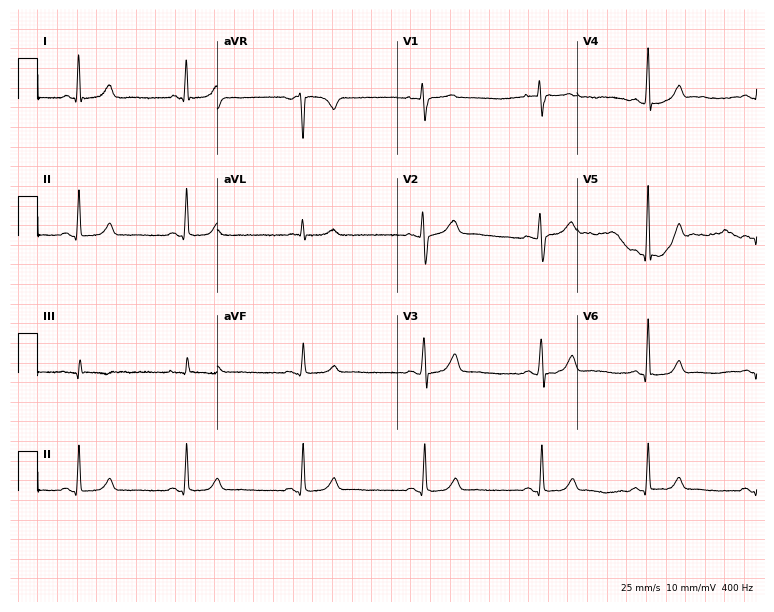
Resting 12-lead electrocardiogram (7.3-second recording at 400 Hz). Patient: a female, 44 years old. None of these six findings is recorded: first-degree AV block, right bundle branch block, left bundle branch block, sinus bradycardia, atrial fibrillation, sinus tachycardia. Findings outside these six are not listed.